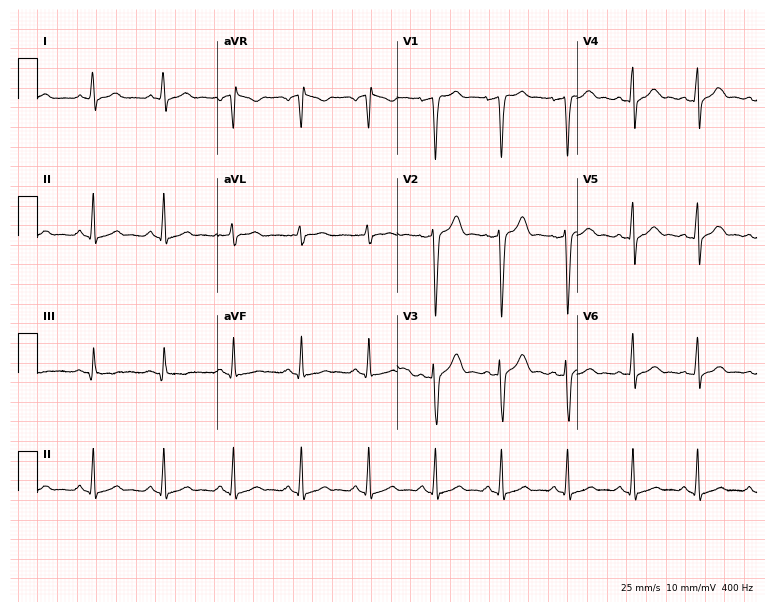
12-lead ECG from a male, 35 years old. No first-degree AV block, right bundle branch block (RBBB), left bundle branch block (LBBB), sinus bradycardia, atrial fibrillation (AF) or sinus tachycardia recorded for this tracing.